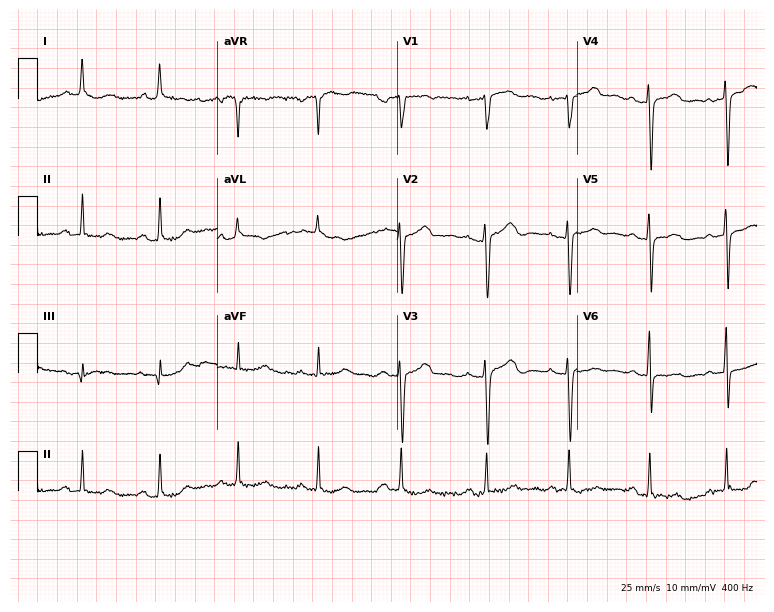
Standard 12-lead ECG recorded from a female patient, 54 years old (7.3-second recording at 400 Hz). Read as a normal ECG.